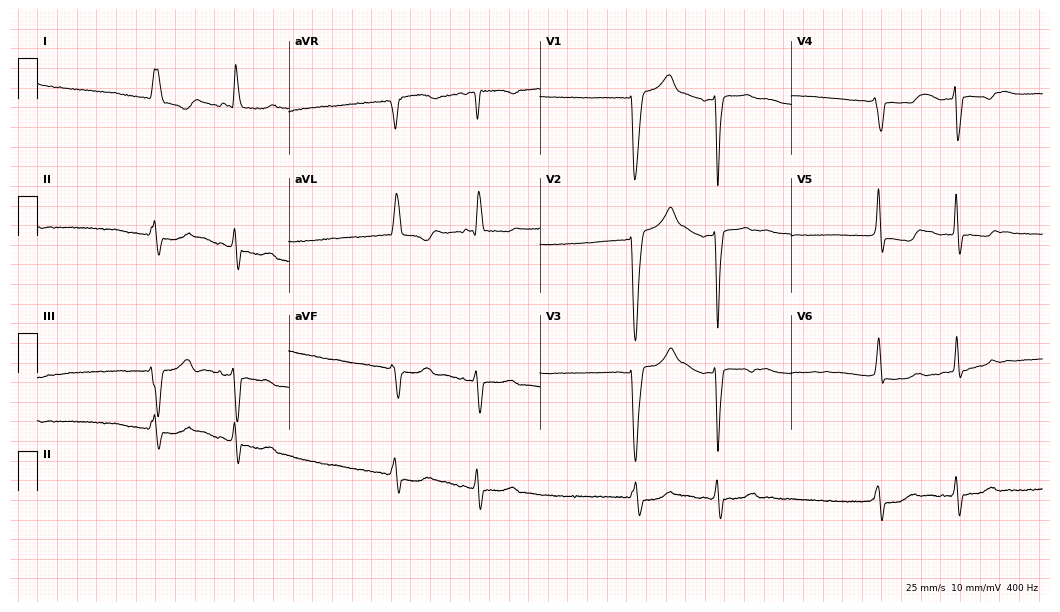
12-lead ECG from a female patient, 78 years old (10.2-second recording at 400 Hz). No first-degree AV block, right bundle branch block, left bundle branch block, sinus bradycardia, atrial fibrillation or sinus tachycardia recorded for this tracing. Findings outside these six are not listed.